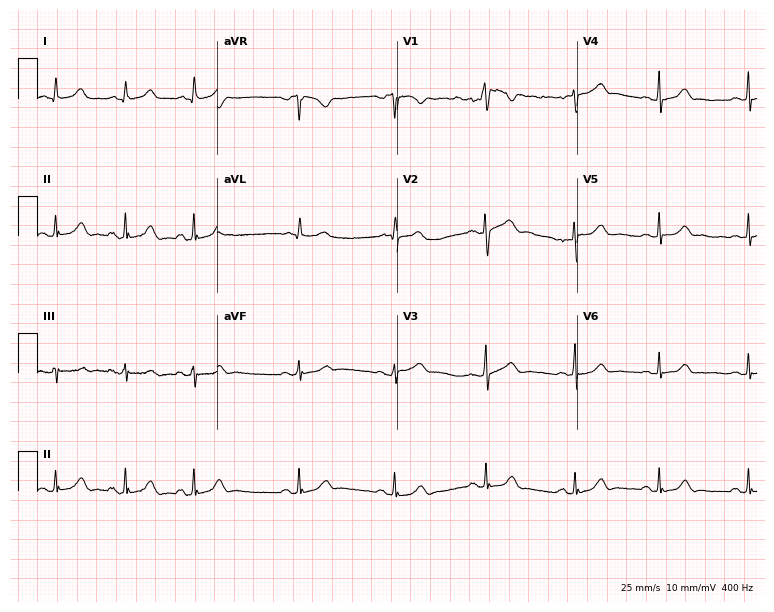
12-lead ECG from a 23-year-old woman. Recorded interpretation: within normal limits.